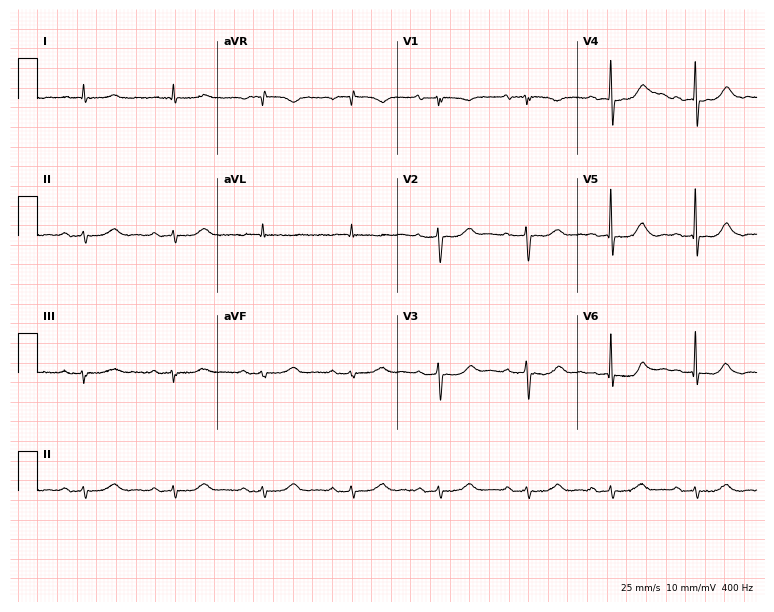
12-lead ECG from an 88-year-old female (7.3-second recording at 400 Hz). No first-degree AV block, right bundle branch block (RBBB), left bundle branch block (LBBB), sinus bradycardia, atrial fibrillation (AF) or sinus tachycardia recorded for this tracing.